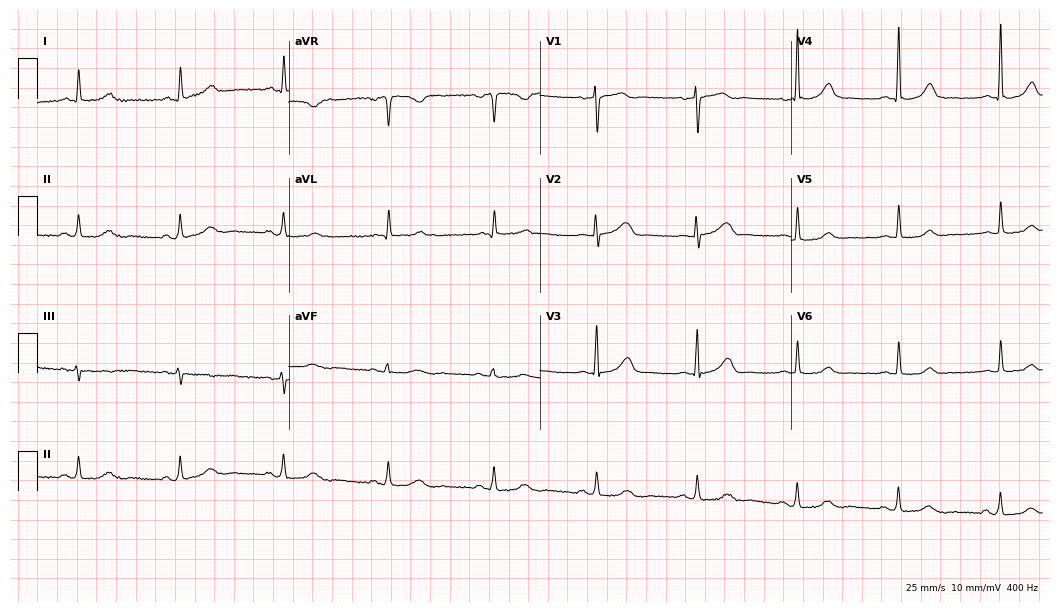
ECG — a female patient, 64 years old. Labelled as a normal ECG.